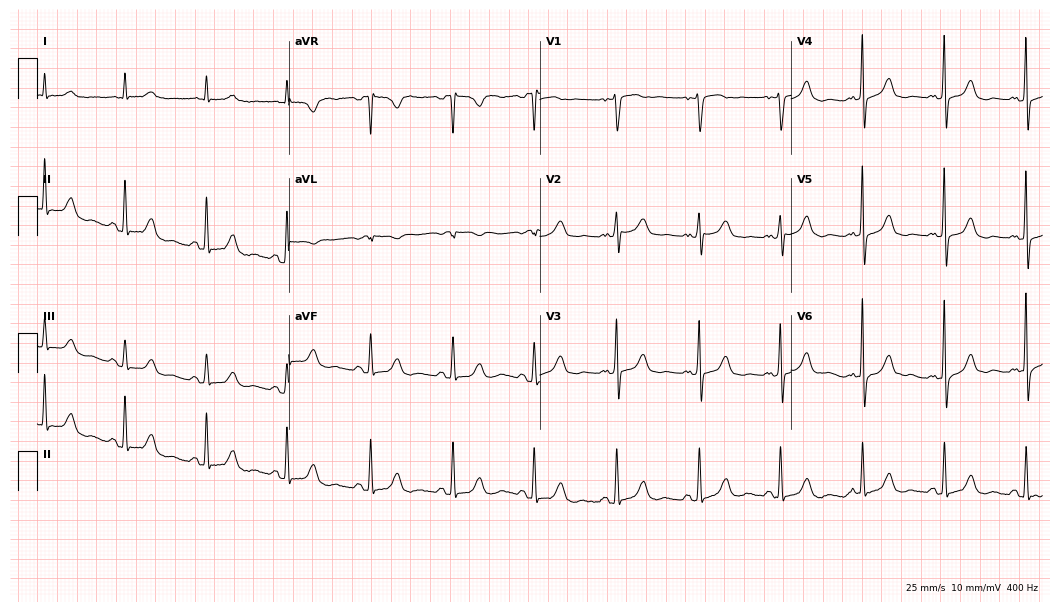
Resting 12-lead electrocardiogram (10.2-second recording at 400 Hz). Patient: a 70-year-old female. Read as a normal ECG.